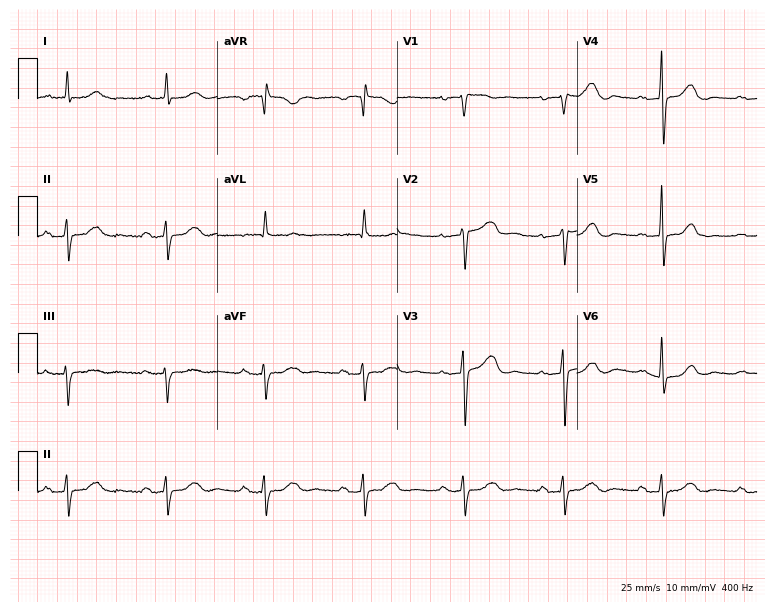
Resting 12-lead electrocardiogram. Patient: a 67-year-old female. The tracing shows first-degree AV block.